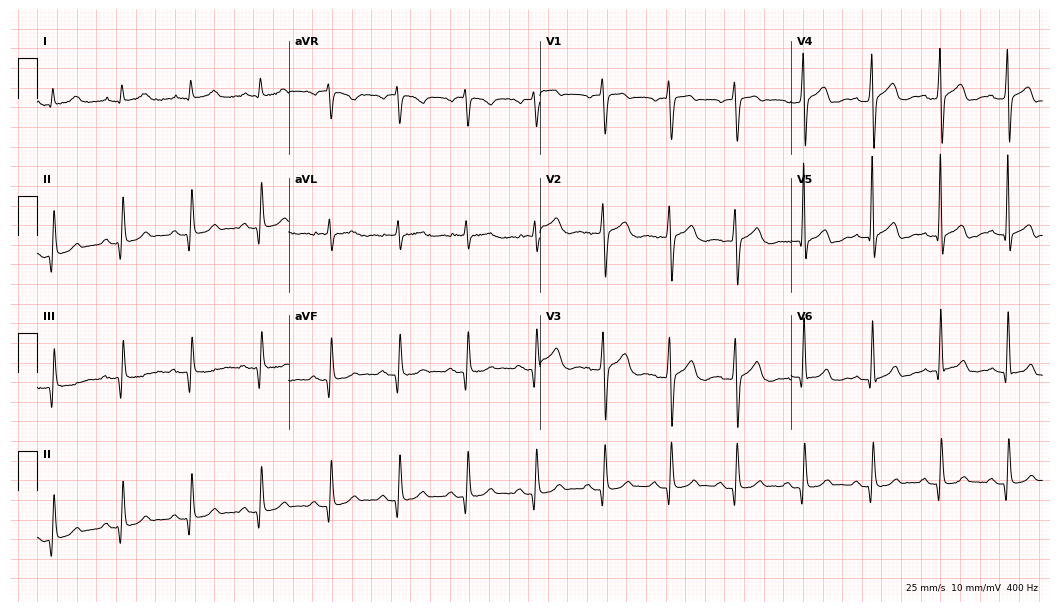
ECG — a 64-year-old man. Screened for six findings — first-degree AV block, right bundle branch block (RBBB), left bundle branch block (LBBB), sinus bradycardia, atrial fibrillation (AF), sinus tachycardia — none is recorded.